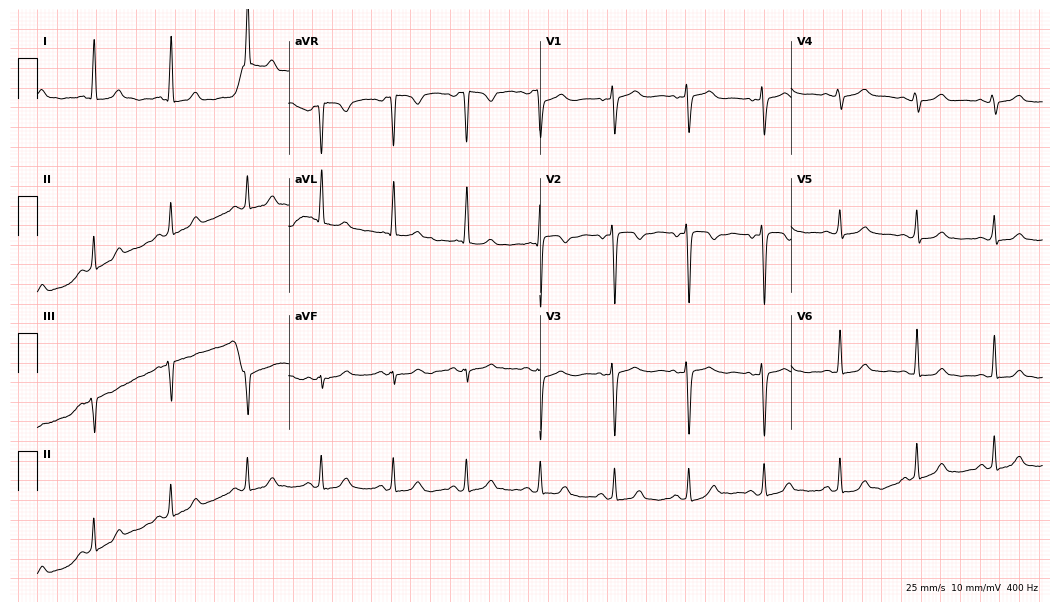
ECG — a 64-year-old female patient. Labelled as a normal ECG.